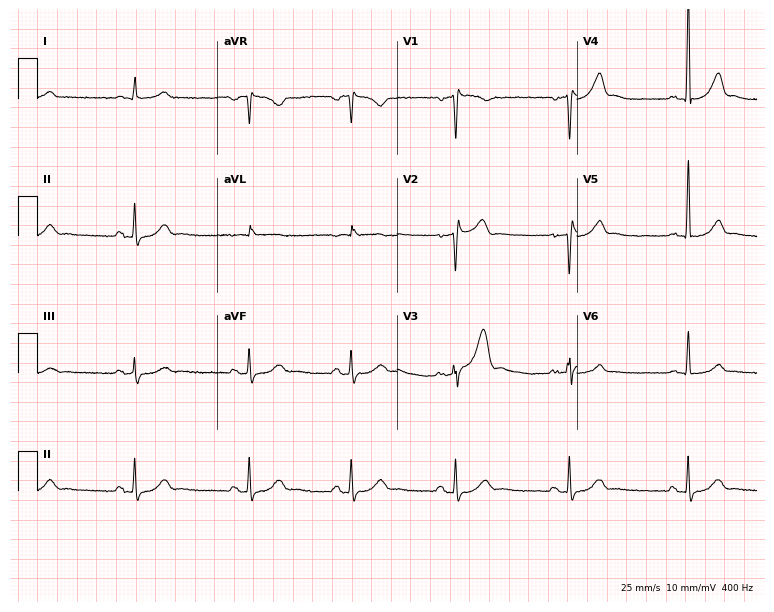
Standard 12-lead ECG recorded from a 41-year-old man (7.3-second recording at 400 Hz). None of these six findings is recorded: first-degree AV block, right bundle branch block, left bundle branch block, sinus bradycardia, atrial fibrillation, sinus tachycardia. Other findings, if any, are not listed.